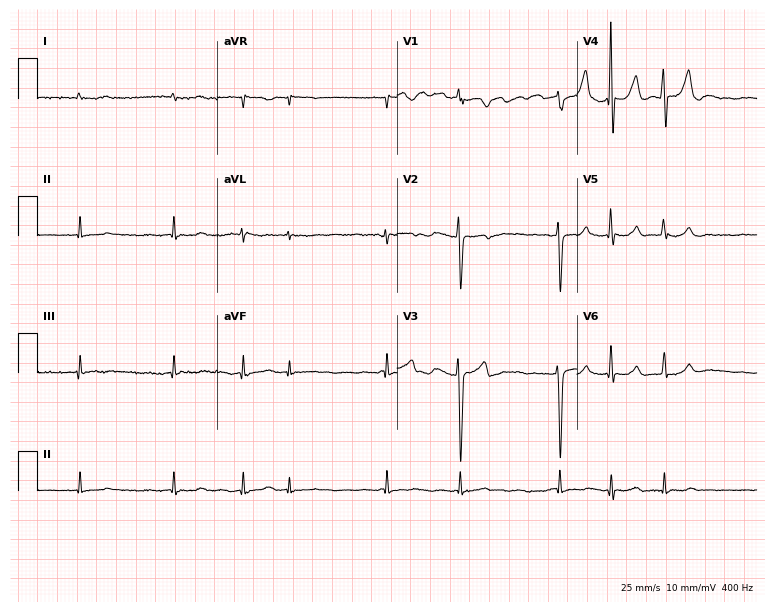
ECG (7.3-second recording at 400 Hz) — a man, 72 years old. Findings include atrial fibrillation.